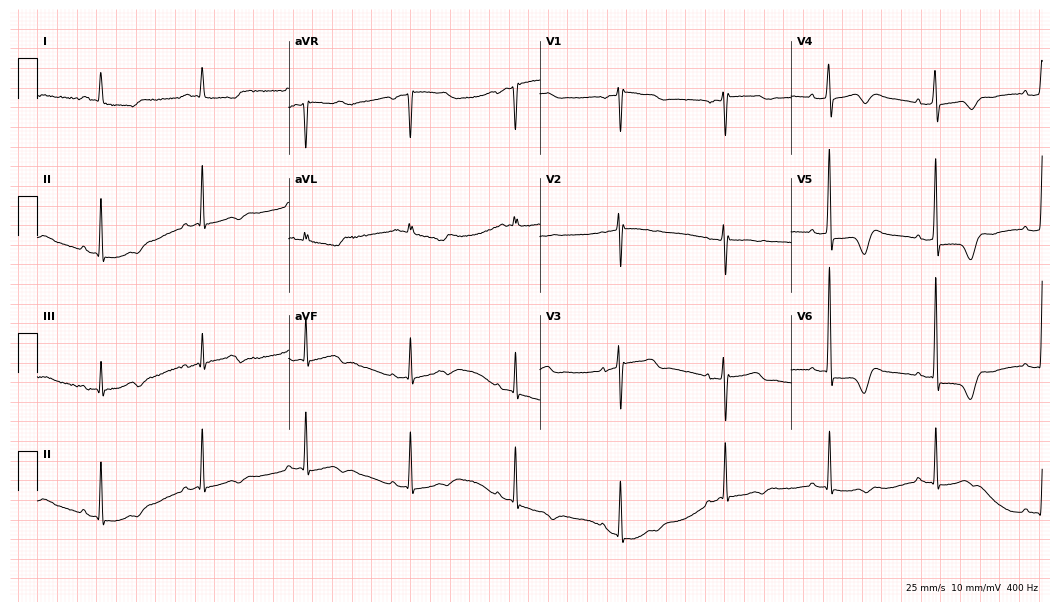
12-lead ECG from a woman, 78 years old. Screened for six findings — first-degree AV block, right bundle branch block, left bundle branch block, sinus bradycardia, atrial fibrillation, sinus tachycardia — none is recorded.